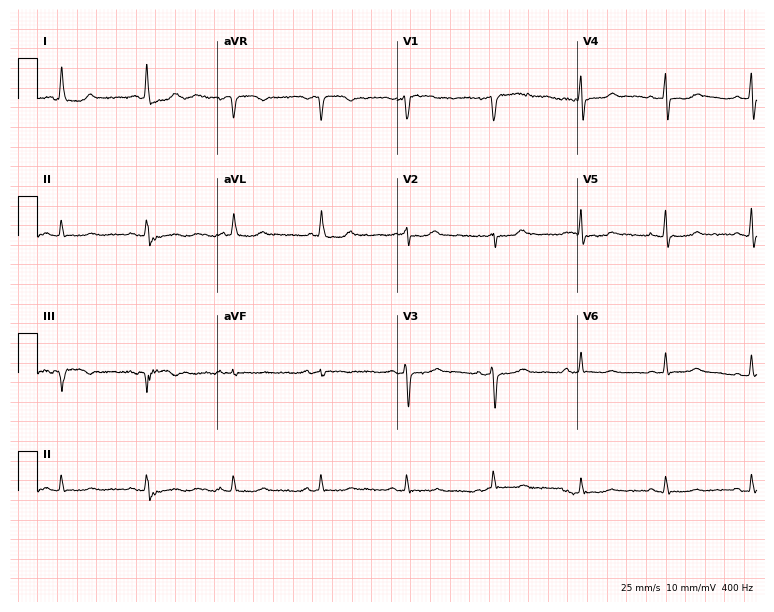
Standard 12-lead ECG recorded from a 67-year-old woman (7.3-second recording at 400 Hz). None of these six findings is recorded: first-degree AV block, right bundle branch block, left bundle branch block, sinus bradycardia, atrial fibrillation, sinus tachycardia. Other findings, if any, are not listed.